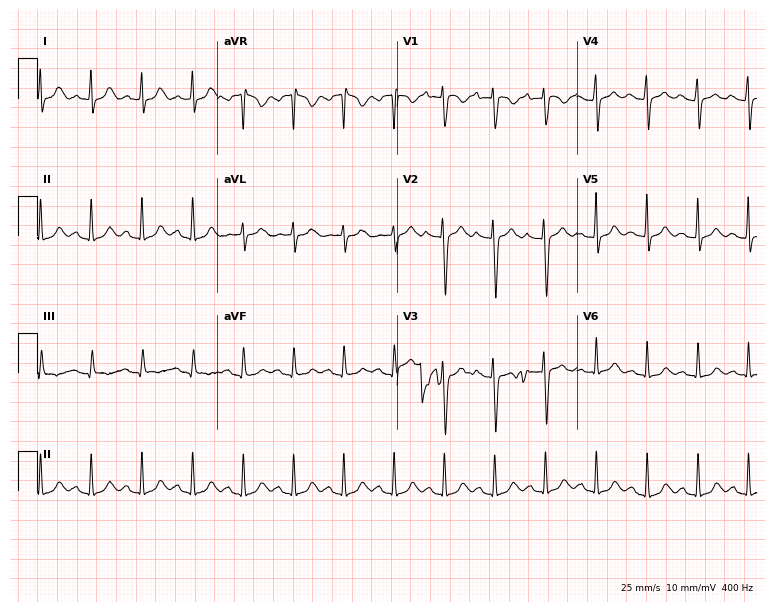
12-lead ECG (7.3-second recording at 400 Hz) from a woman, 24 years old. Findings include sinus tachycardia (a sinus rate of 100 beats per minute or more).